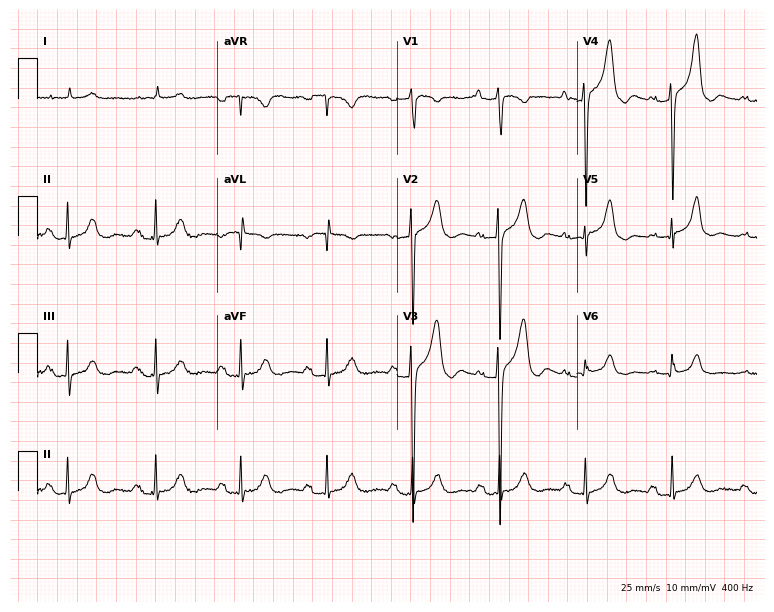
ECG (7.3-second recording at 400 Hz) — a male, 83 years old. Screened for six findings — first-degree AV block, right bundle branch block (RBBB), left bundle branch block (LBBB), sinus bradycardia, atrial fibrillation (AF), sinus tachycardia — none is recorded.